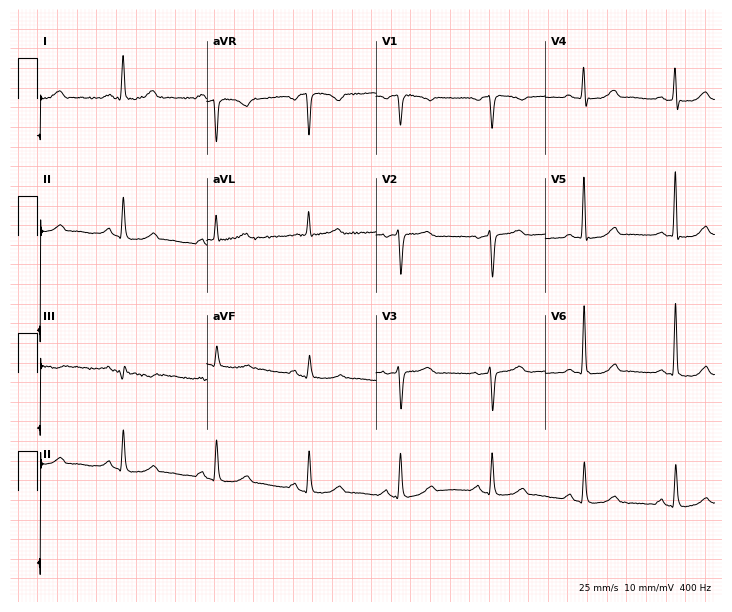
12-lead ECG from a female patient, 62 years old. Screened for six findings — first-degree AV block, right bundle branch block (RBBB), left bundle branch block (LBBB), sinus bradycardia, atrial fibrillation (AF), sinus tachycardia — none is recorded. Findings outside these six are not listed.